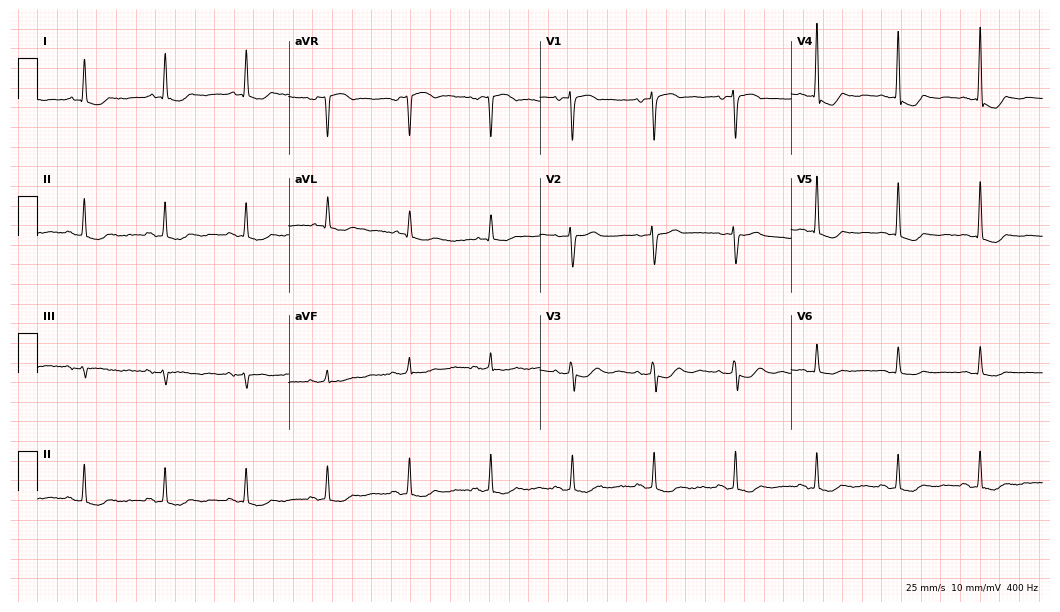
12-lead ECG from an 82-year-old female patient. No first-degree AV block, right bundle branch block, left bundle branch block, sinus bradycardia, atrial fibrillation or sinus tachycardia recorded for this tracing.